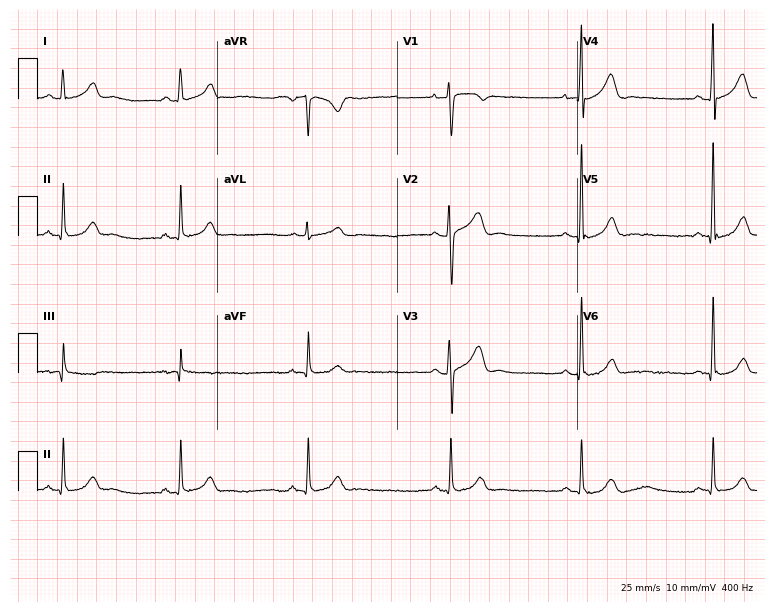
ECG — a female, 28 years old. Findings include sinus bradycardia (a sinus rate of 50 beats per minute or less).